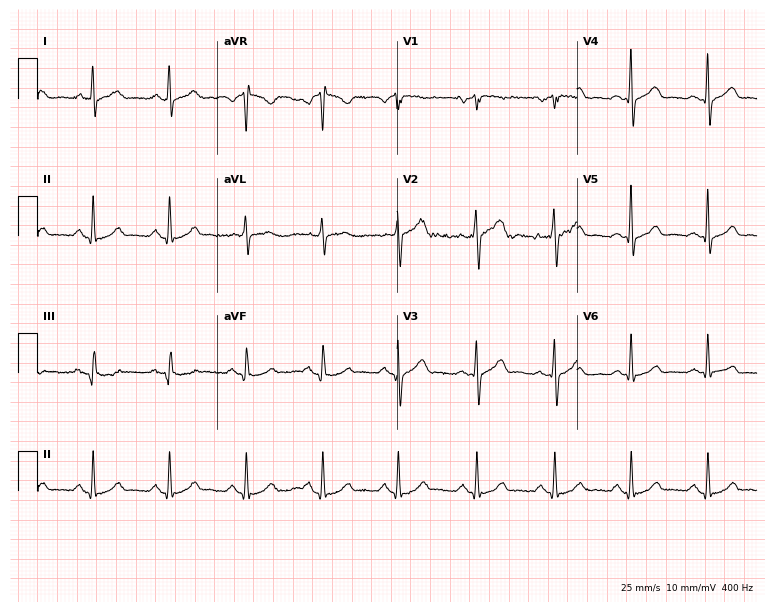
Standard 12-lead ECG recorded from a male patient, 60 years old. None of these six findings is recorded: first-degree AV block, right bundle branch block, left bundle branch block, sinus bradycardia, atrial fibrillation, sinus tachycardia.